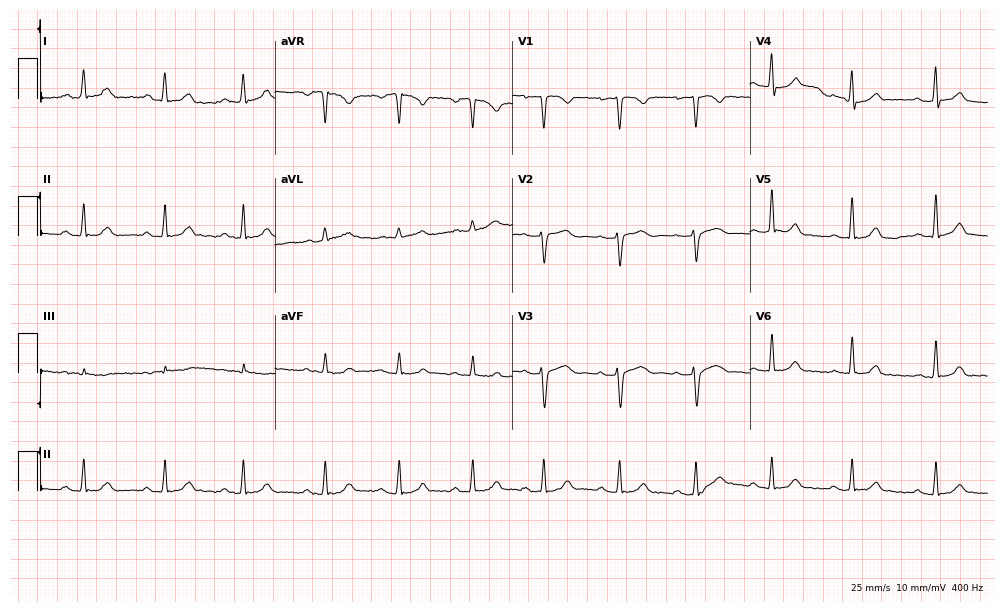
Standard 12-lead ECG recorded from a female patient, 35 years old. Read as a normal ECG.